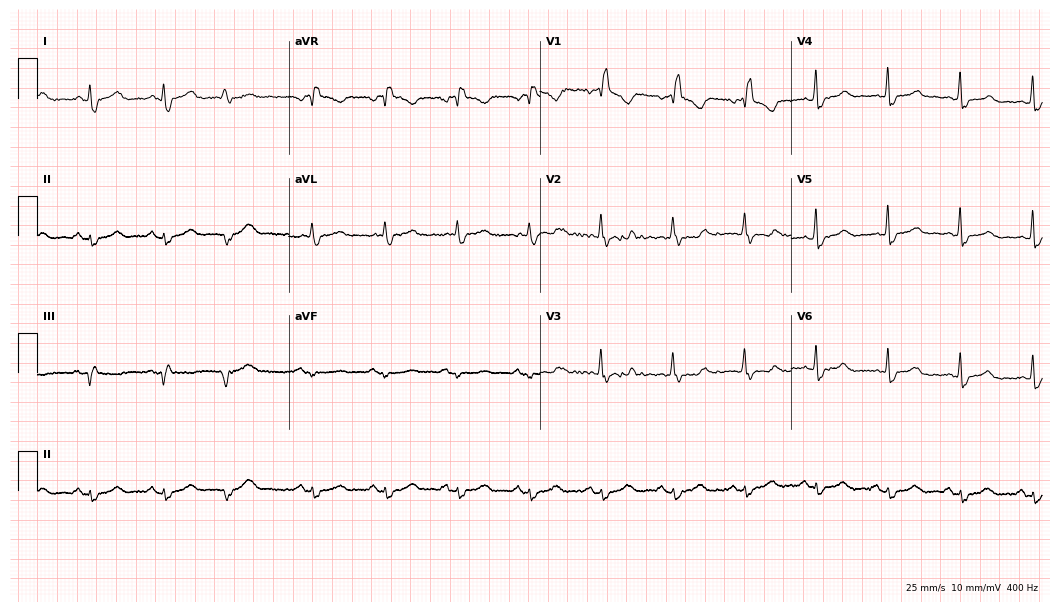
Resting 12-lead electrocardiogram (10.2-second recording at 400 Hz). Patient: a female, 48 years old. The tracing shows right bundle branch block (RBBB).